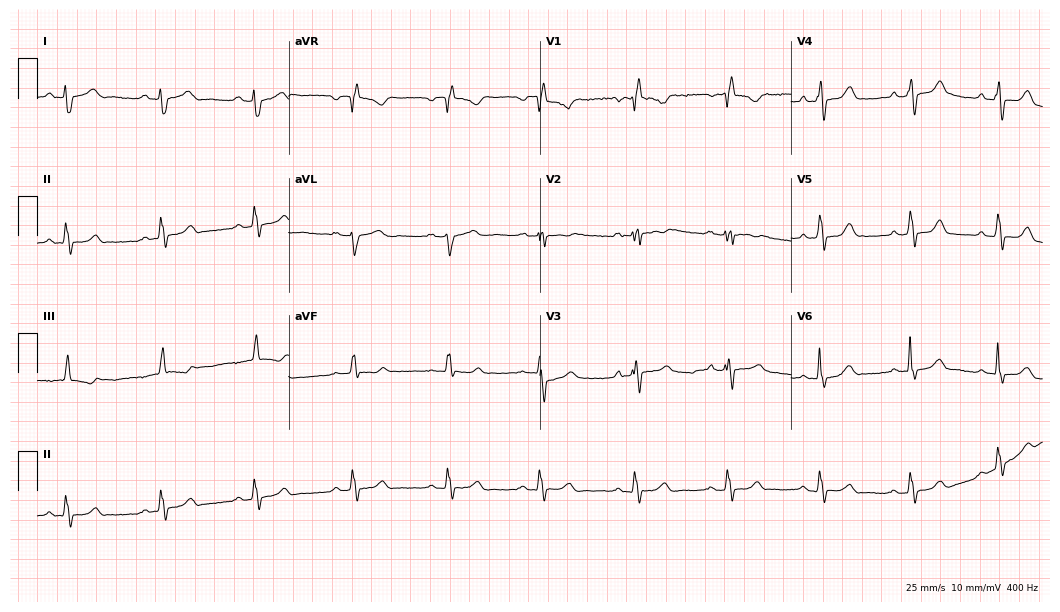
12-lead ECG (10.2-second recording at 400 Hz) from a 19-year-old female patient. Screened for six findings — first-degree AV block, right bundle branch block, left bundle branch block, sinus bradycardia, atrial fibrillation, sinus tachycardia — none is recorded. Findings outside these six are not listed.